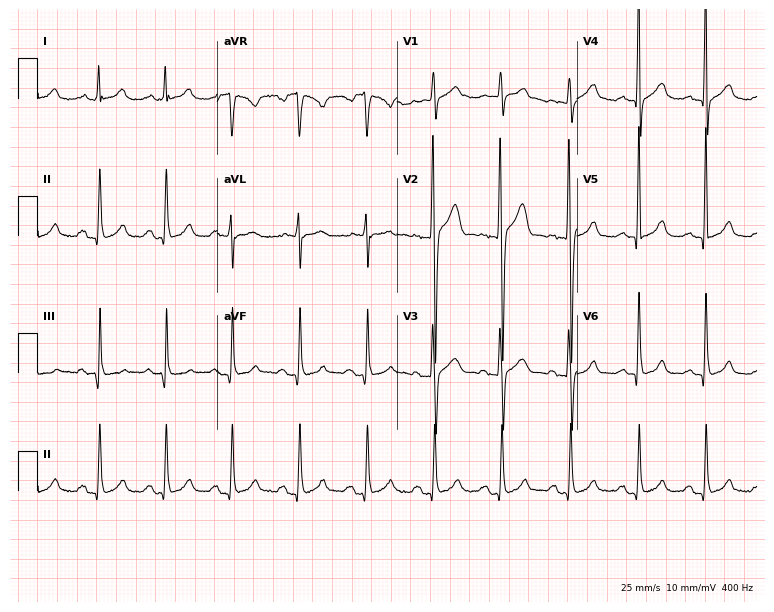
12-lead ECG (7.3-second recording at 400 Hz) from a man, 20 years old. Labelled as a normal ECG.